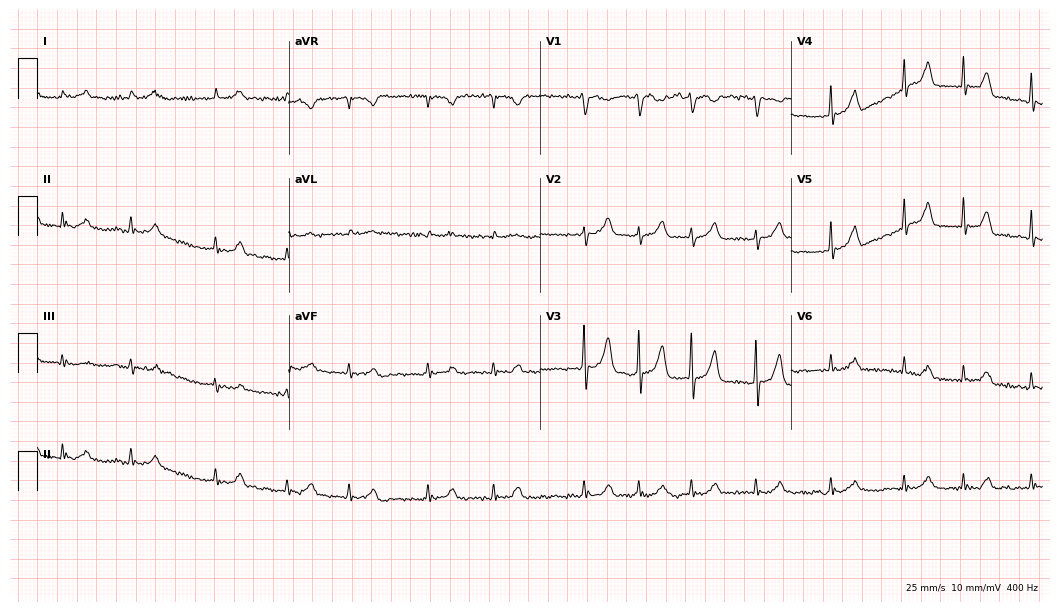
Standard 12-lead ECG recorded from a woman, 73 years old. The tracing shows atrial fibrillation.